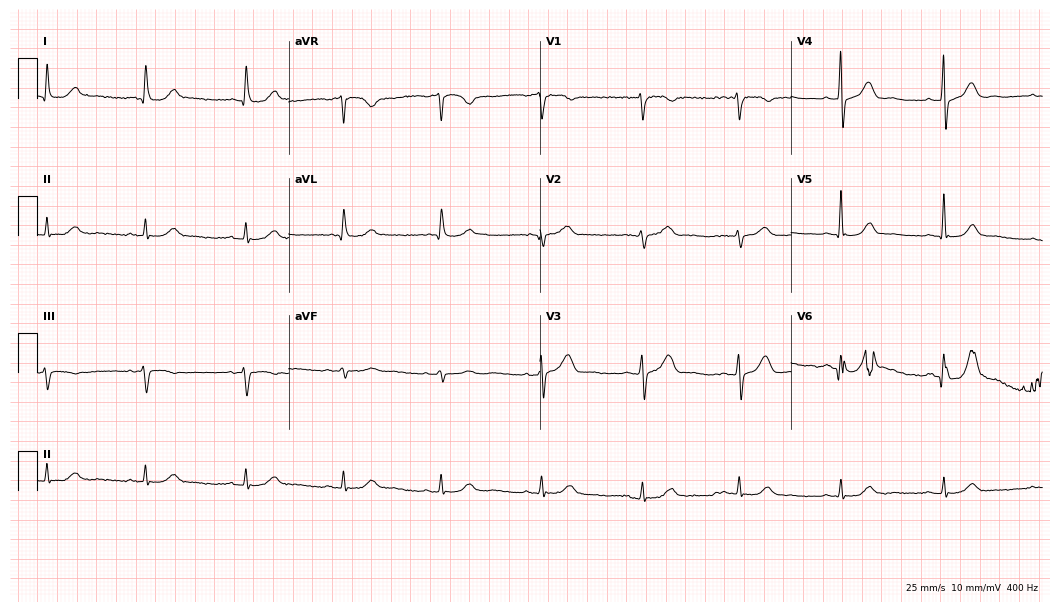
12-lead ECG from a female patient, 80 years old. Labelled as a normal ECG.